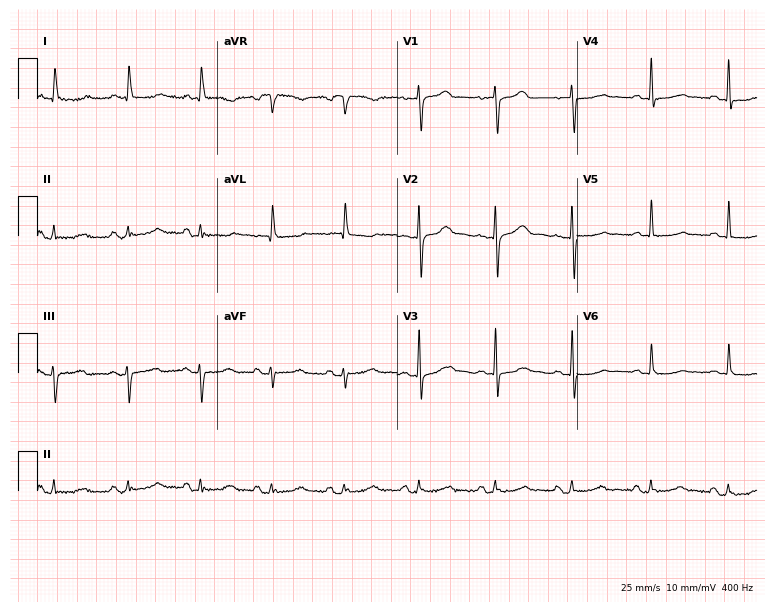
Electrocardiogram (7.3-second recording at 400 Hz), a female, 73 years old. Of the six screened findings (first-degree AV block, right bundle branch block, left bundle branch block, sinus bradycardia, atrial fibrillation, sinus tachycardia), none is recorded.